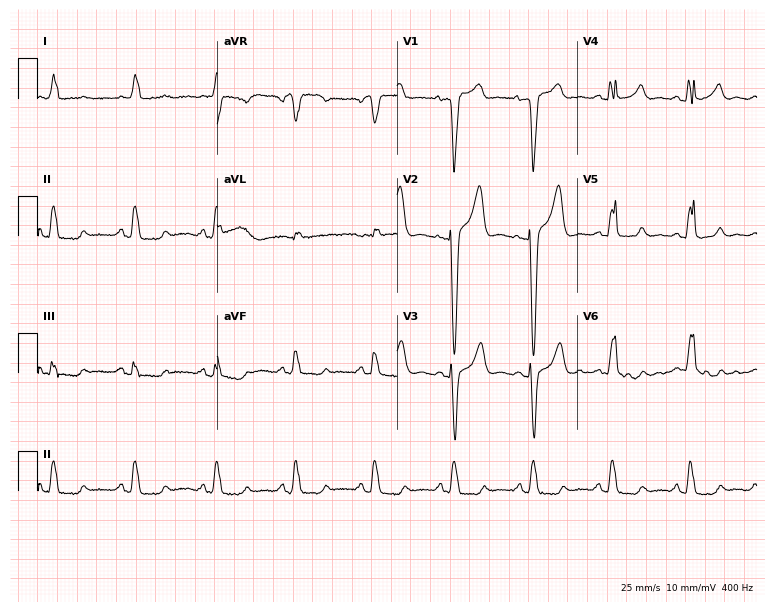
Resting 12-lead electrocardiogram (7.3-second recording at 400 Hz). Patient: a female, 73 years old. The tracing shows left bundle branch block.